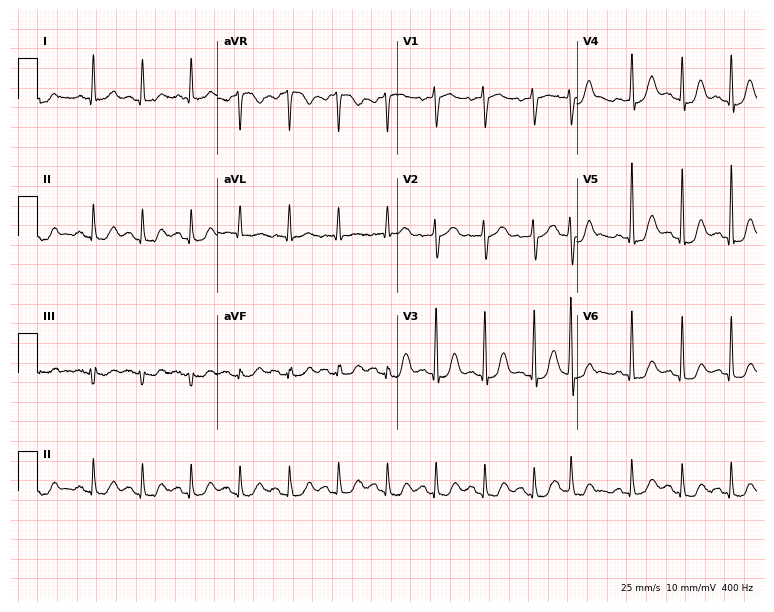
12-lead ECG from a female patient, 82 years old. Shows sinus tachycardia (a sinus rate of 100 beats per minute or more).